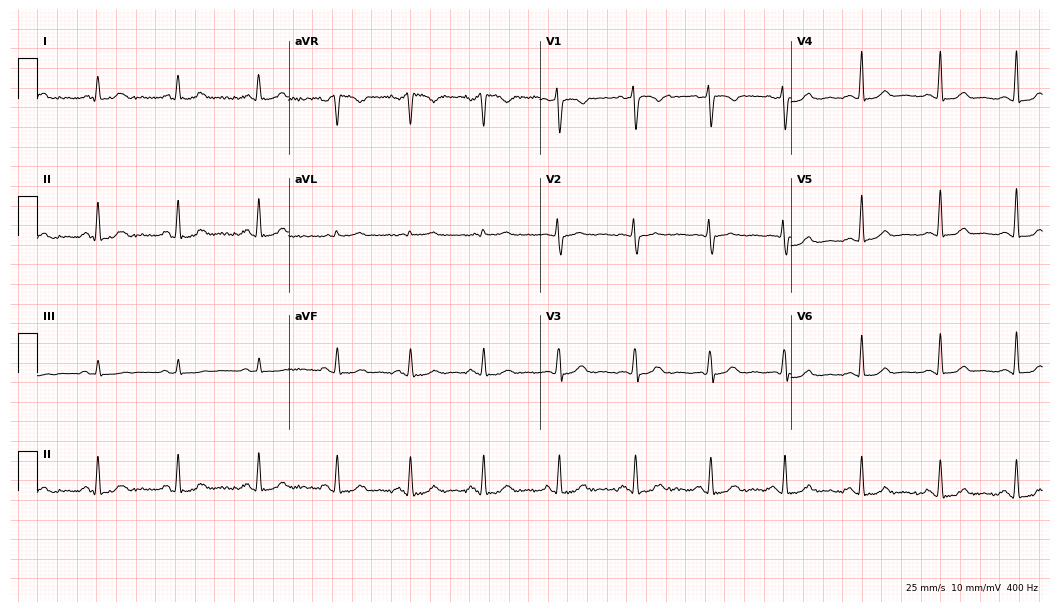
12-lead ECG from a 45-year-old woman (10.2-second recording at 400 Hz). No first-degree AV block, right bundle branch block, left bundle branch block, sinus bradycardia, atrial fibrillation or sinus tachycardia recorded for this tracing.